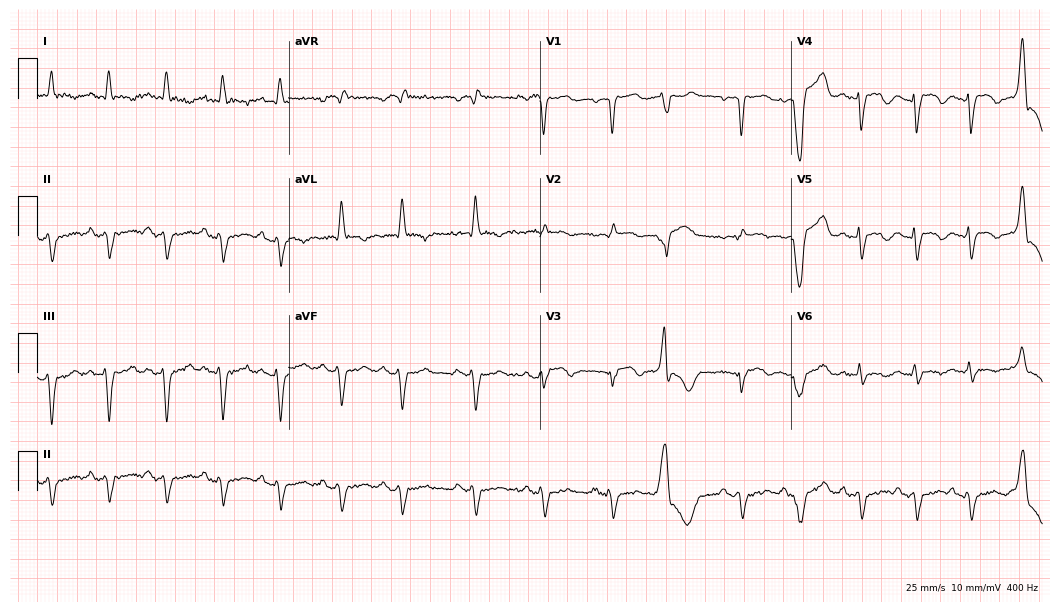
12-lead ECG (10.2-second recording at 400 Hz) from a female, 55 years old. Findings include right bundle branch block.